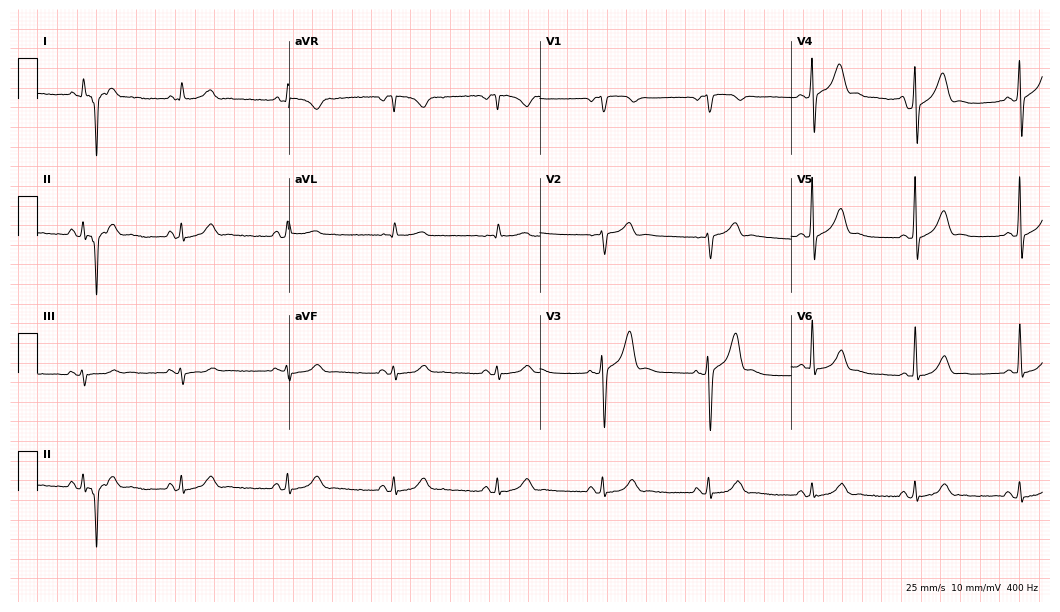
12-lead ECG from a man, 70 years old (10.2-second recording at 400 Hz). No first-degree AV block, right bundle branch block, left bundle branch block, sinus bradycardia, atrial fibrillation or sinus tachycardia recorded for this tracing.